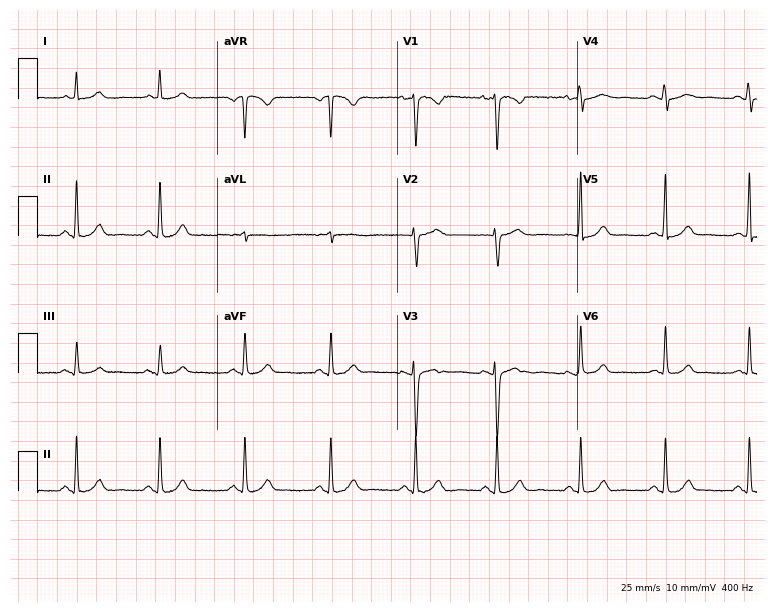
Standard 12-lead ECG recorded from a 33-year-old female patient (7.3-second recording at 400 Hz). Read as a normal ECG.